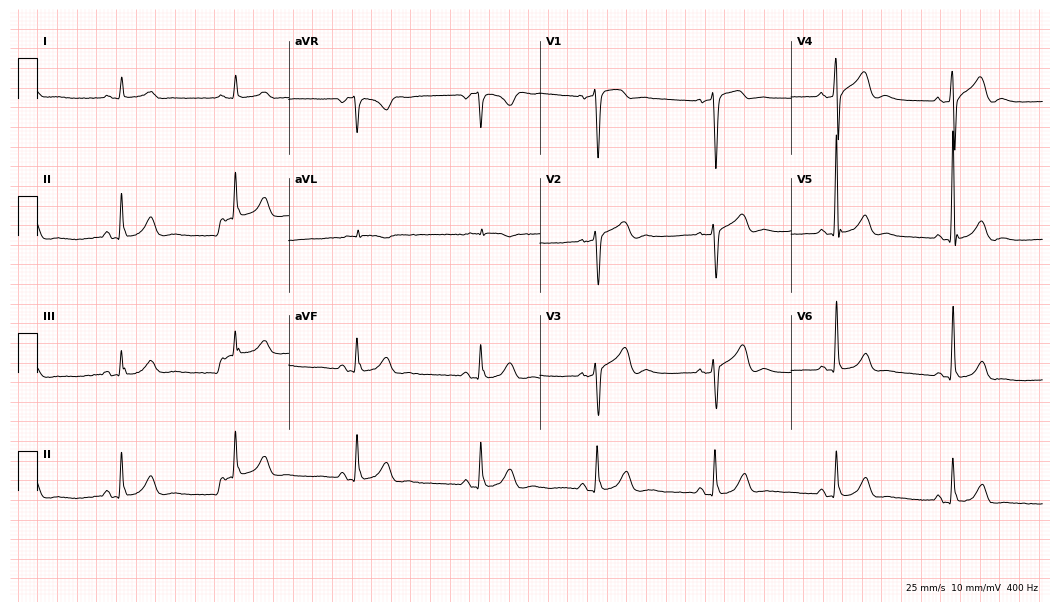
Electrocardiogram (10.2-second recording at 400 Hz), a 64-year-old male patient. Interpretation includes sinus bradycardia (a sinus rate of 50 beats per minute or less).